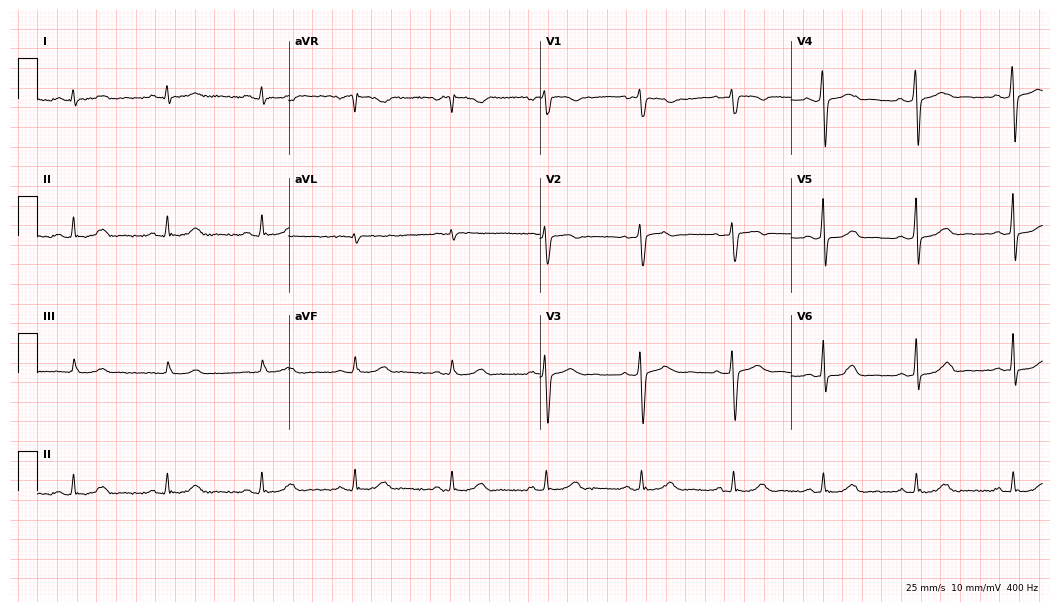
Resting 12-lead electrocardiogram (10.2-second recording at 400 Hz). Patient: a 46-year-old woman. Read as a normal ECG.